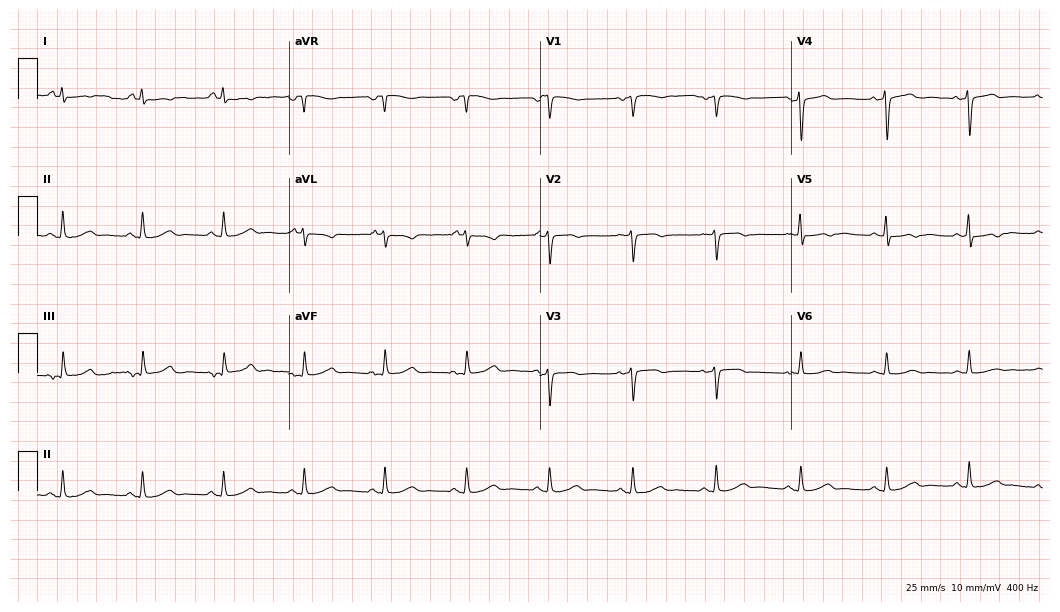
ECG — a 65-year-old woman. Screened for six findings — first-degree AV block, right bundle branch block, left bundle branch block, sinus bradycardia, atrial fibrillation, sinus tachycardia — none is recorded. Other findings, if any, are not listed.